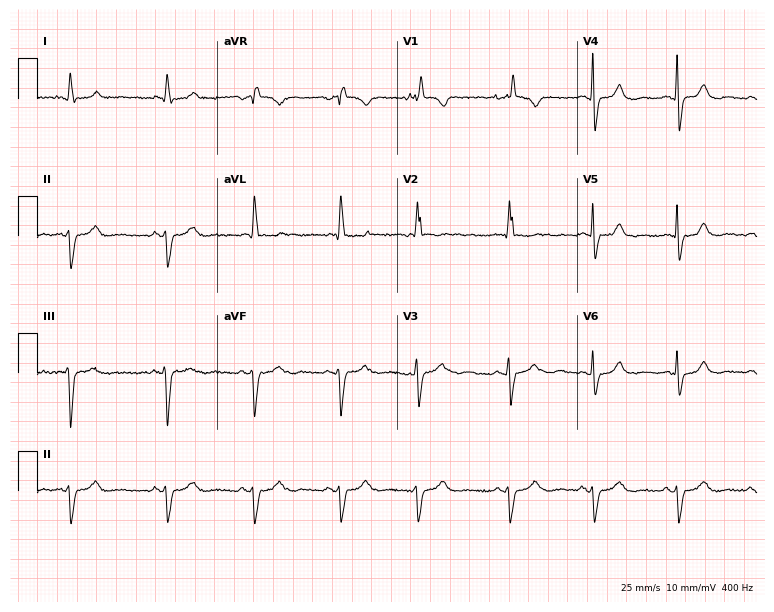
Standard 12-lead ECG recorded from a 76-year-old female patient. The tracing shows right bundle branch block.